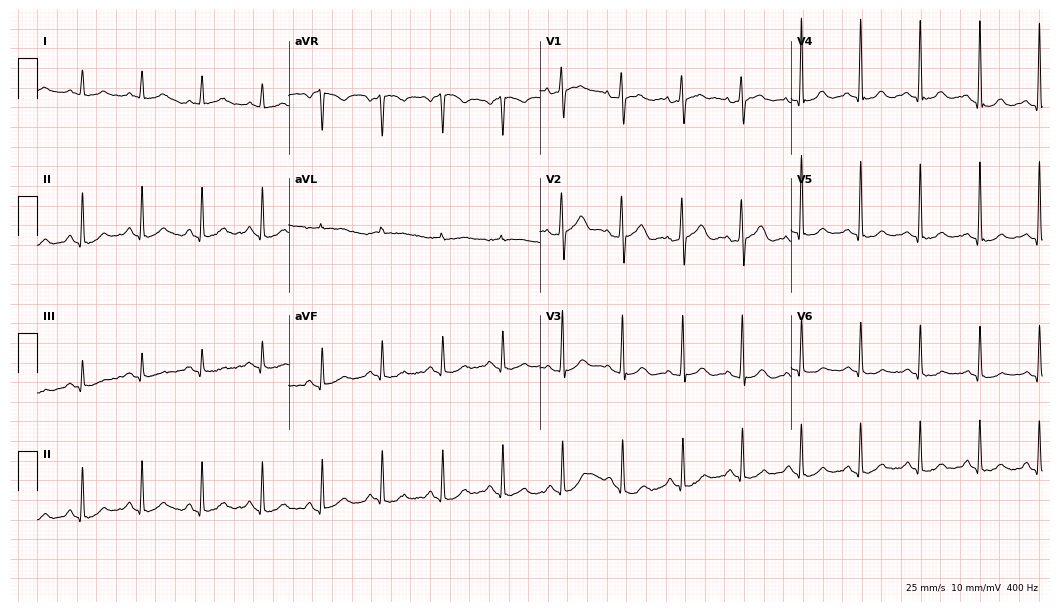
12-lead ECG from a woman, 72 years old. Labelled as a normal ECG.